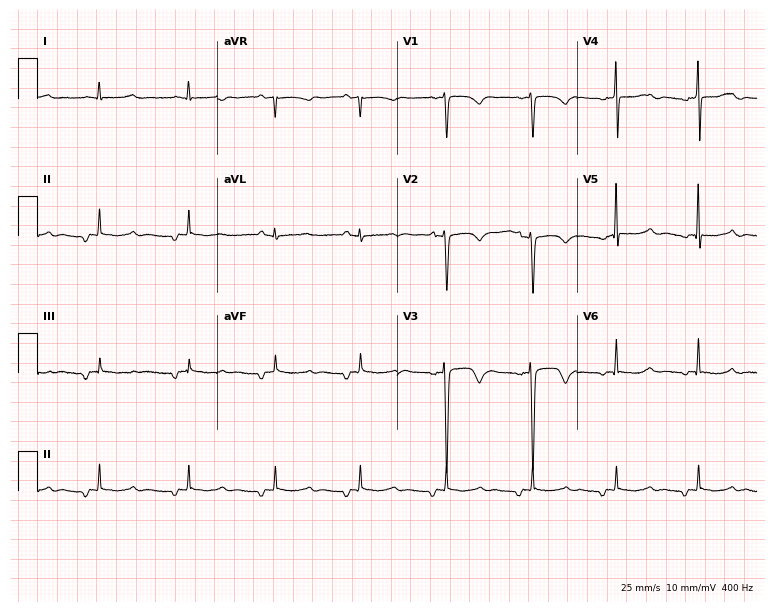
12-lead ECG from a 33-year-old female. Screened for six findings — first-degree AV block, right bundle branch block, left bundle branch block, sinus bradycardia, atrial fibrillation, sinus tachycardia — none is recorded. Findings outside these six are not listed.